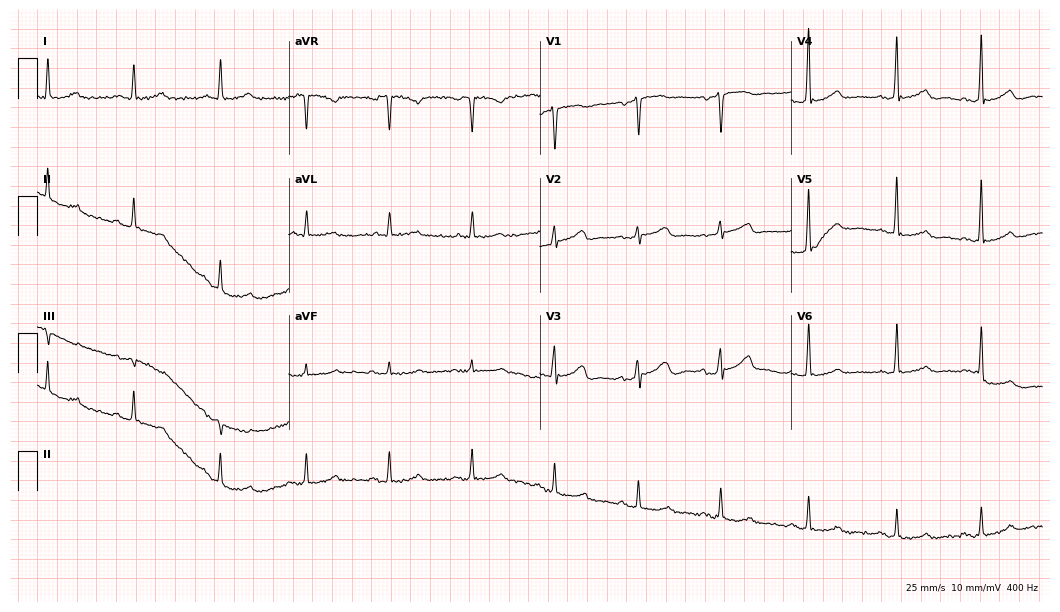
12-lead ECG (10.2-second recording at 400 Hz) from a 78-year-old woman. Screened for six findings — first-degree AV block, right bundle branch block, left bundle branch block, sinus bradycardia, atrial fibrillation, sinus tachycardia — none is recorded.